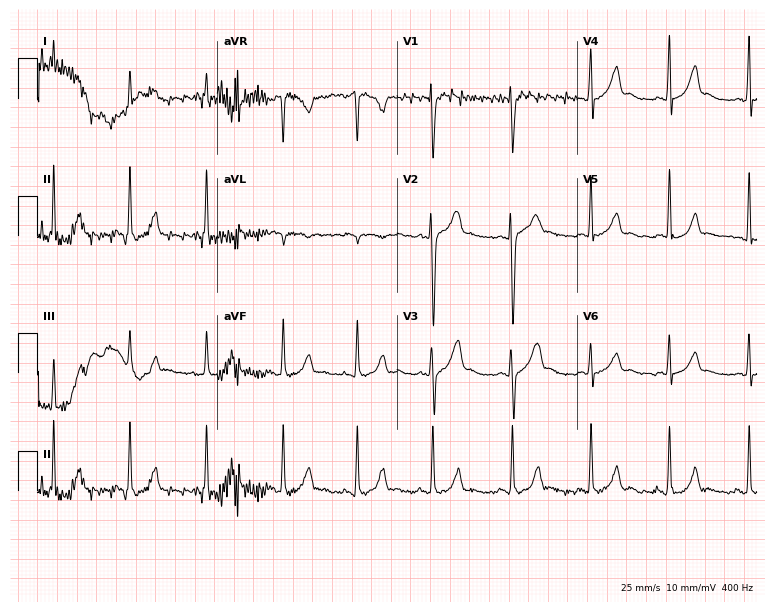
12-lead ECG (7.3-second recording at 400 Hz) from a man, 32 years old. Screened for six findings — first-degree AV block, right bundle branch block, left bundle branch block, sinus bradycardia, atrial fibrillation, sinus tachycardia — none is recorded.